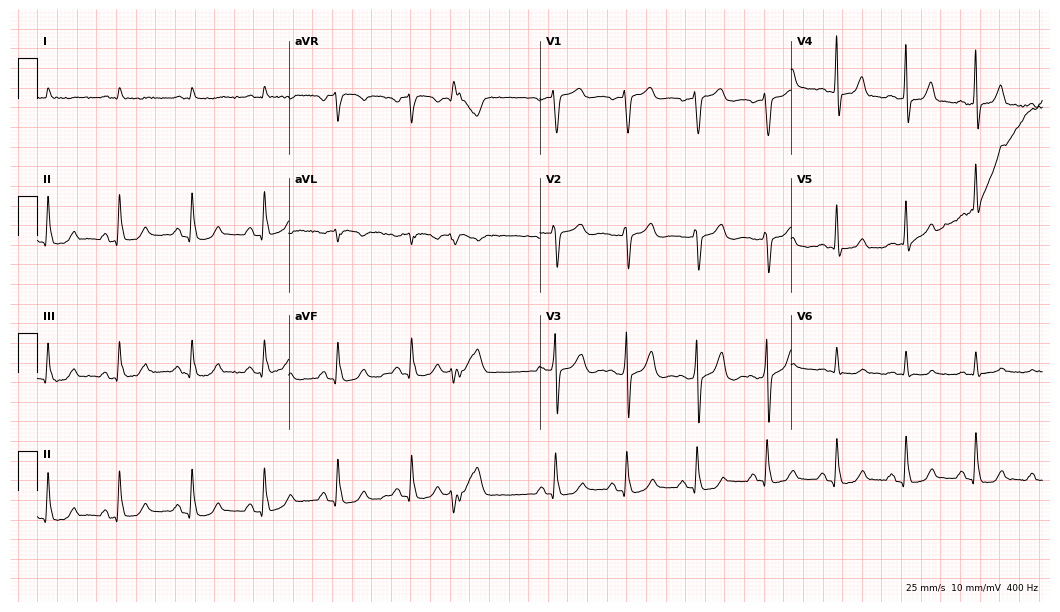
ECG (10.2-second recording at 400 Hz) — a 75-year-old man. Labelled as a normal ECG.